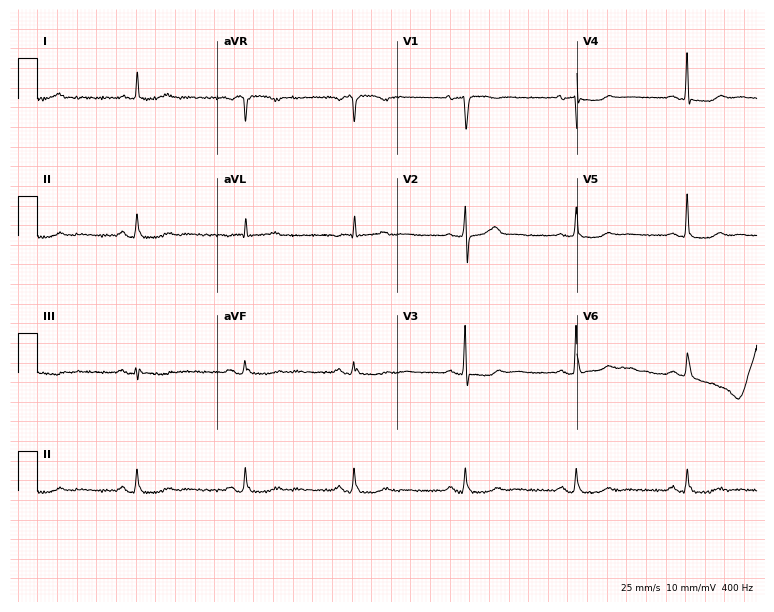
Standard 12-lead ECG recorded from a female, 74 years old. None of these six findings is recorded: first-degree AV block, right bundle branch block, left bundle branch block, sinus bradycardia, atrial fibrillation, sinus tachycardia.